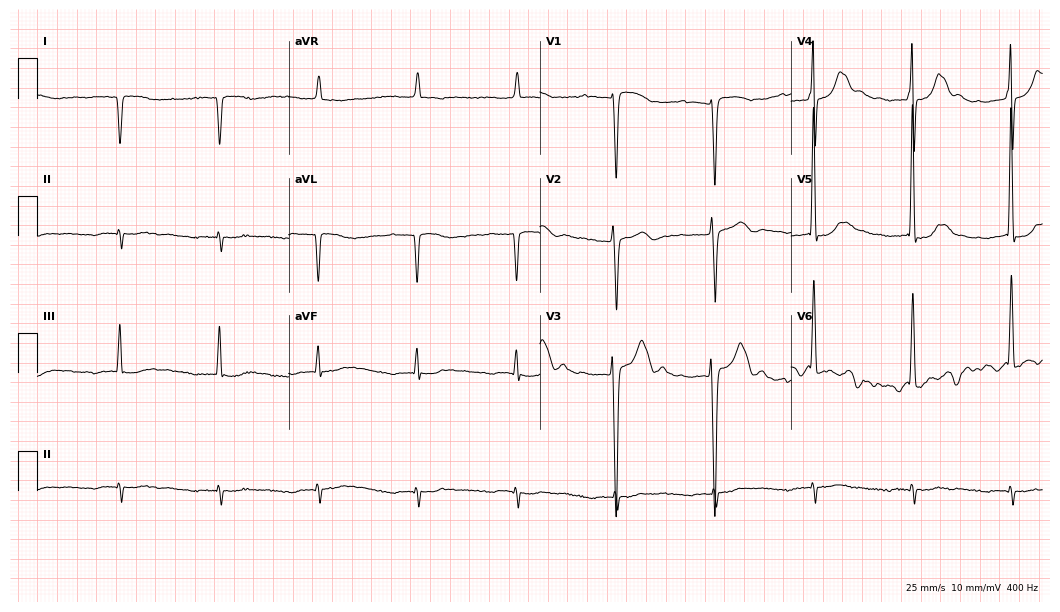
Resting 12-lead electrocardiogram (10.2-second recording at 400 Hz). Patient: a man, 85 years old. None of these six findings is recorded: first-degree AV block, right bundle branch block, left bundle branch block, sinus bradycardia, atrial fibrillation, sinus tachycardia.